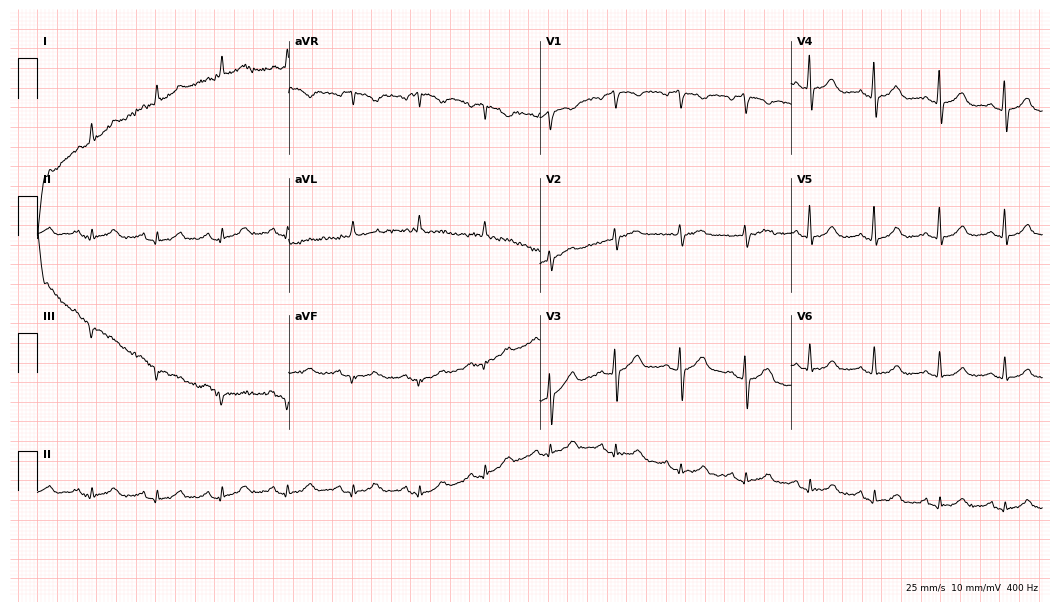
Standard 12-lead ECG recorded from a male patient, 82 years old. Read as a normal ECG.